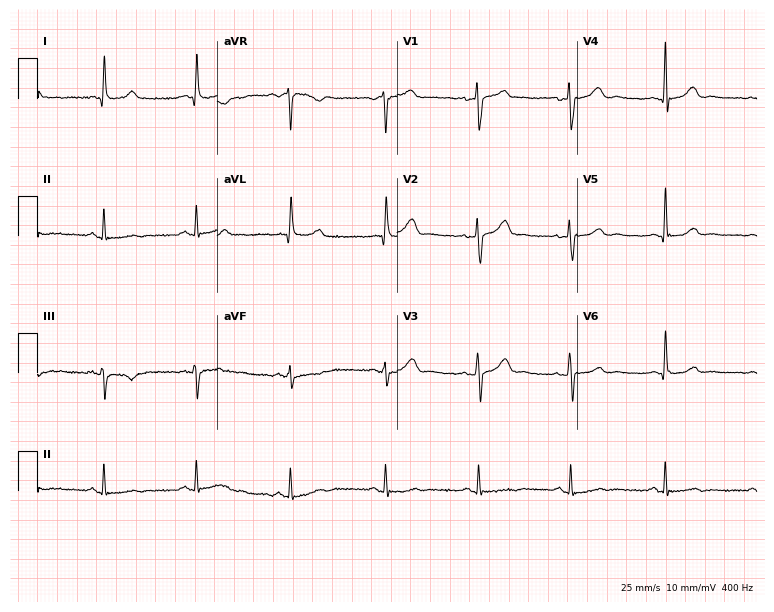
ECG — a female patient, 58 years old. Screened for six findings — first-degree AV block, right bundle branch block (RBBB), left bundle branch block (LBBB), sinus bradycardia, atrial fibrillation (AF), sinus tachycardia — none is recorded. Only these six findings were labelled.